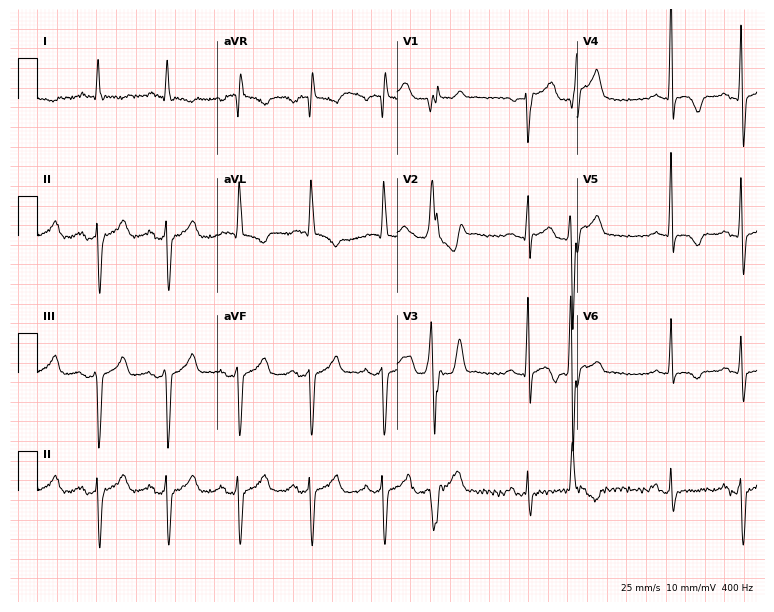
12-lead ECG from a man, 68 years old. Screened for six findings — first-degree AV block, right bundle branch block (RBBB), left bundle branch block (LBBB), sinus bradycardia, atrial fibrillation (AF), sinus tachycardia — none is recorded.